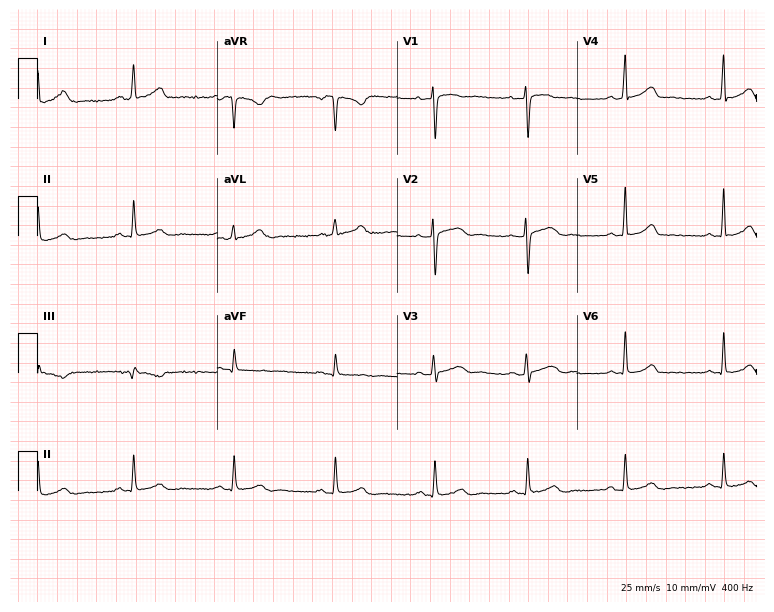
Standard 12-lead ECG recorded from a 28-year-old woman. None of these six findings is recorded: first-degree AV block, right bundle branch block, left bundle branch block, sinus bradycardia, atrial fibrillation, sinus tachycardia. Findings outside these six are not listed.